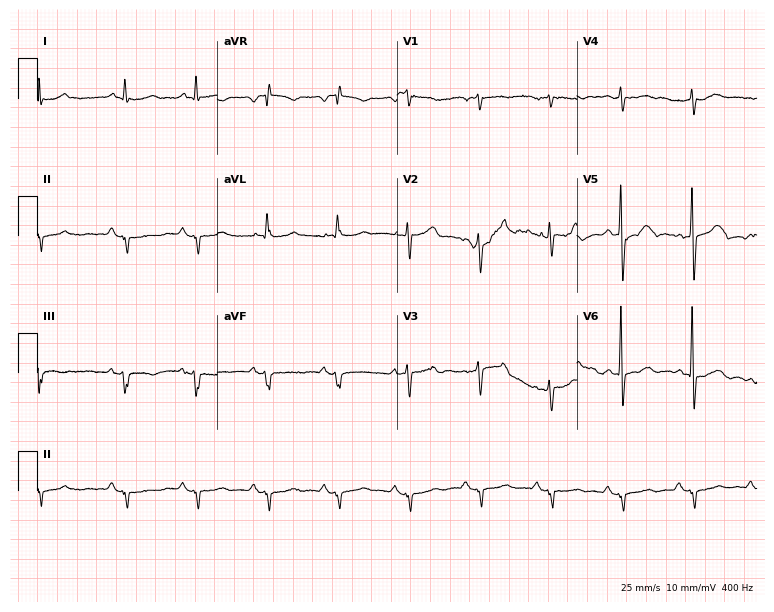
Standard 12-lead ECG recorded from a male patient, 76 years old (7.3-second recording at 400 Hz). None of these six findings is recorded: first-degree AV block, right bundle branch block, left bundle branch block, sinus bradycardia, atrial fibrillation, sinus tachycardia.